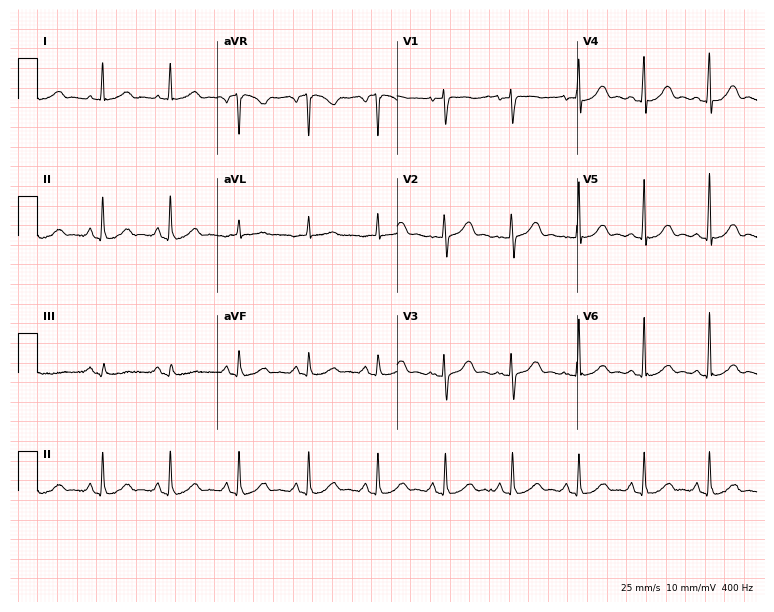
12-lead ECG from a woman, 56 years old (7.3-second recording at 400 Hz). Recorded interpretation: within normal limits.